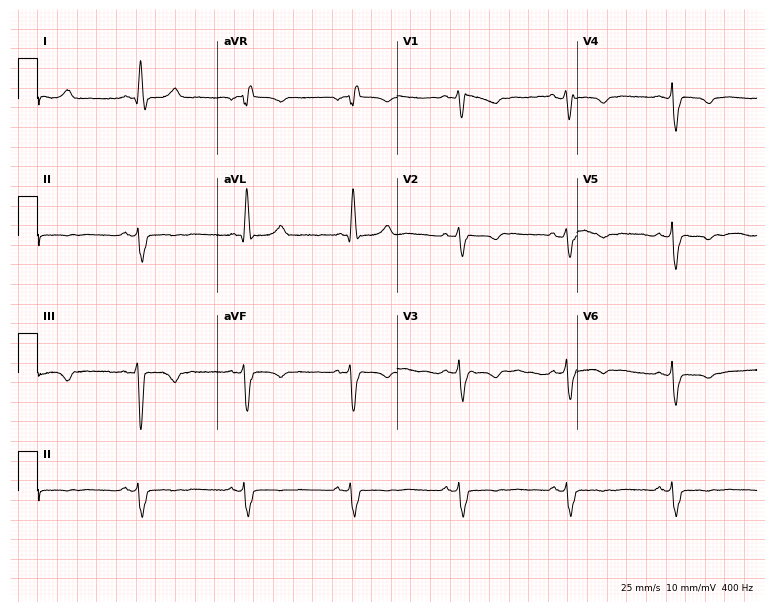
12-lead ECG (7.3-second recording at 400 Hz) from a female patient, 63 years old. Screened for six findings — first-degree AV block, right bundle branch block, left bundle branch block, sinus bradycardia, atrial fibrillation, sinus tachycardia — none is recorded. Other findings, if any, are not listed.